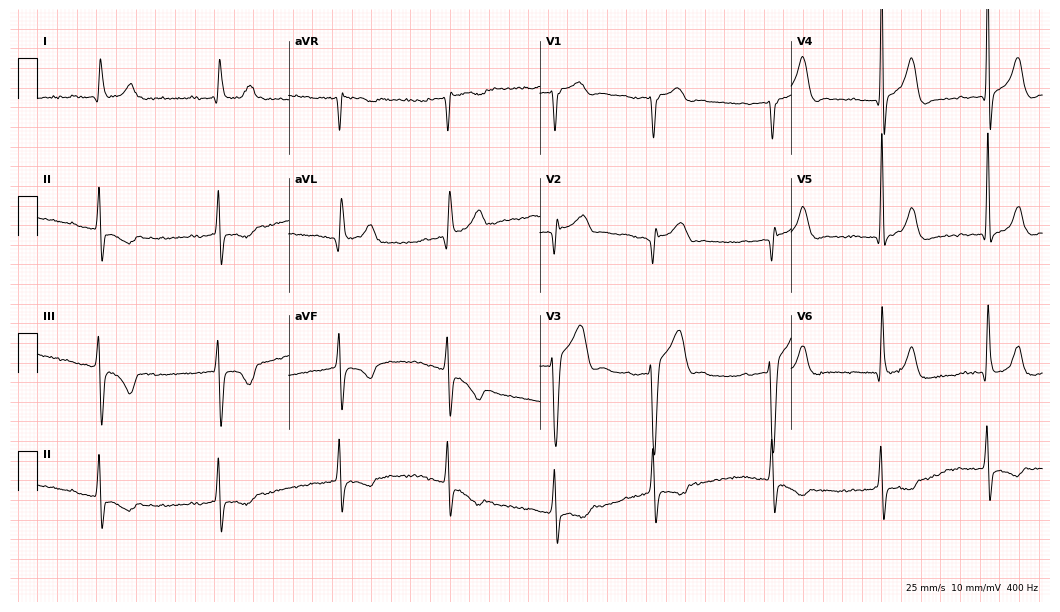
Electrocardiogram (10.2-second recording at 400 Hz), a male patient, 31 years old. Of the six screened findings (first-degree AV block, right bundle branch block (RBBB), left bundle branch block (LBBB), sinus bradycardia, atrial fibrillation (AF), sinus tachycardia), none is recorded. Other findings, if any, are not listed.